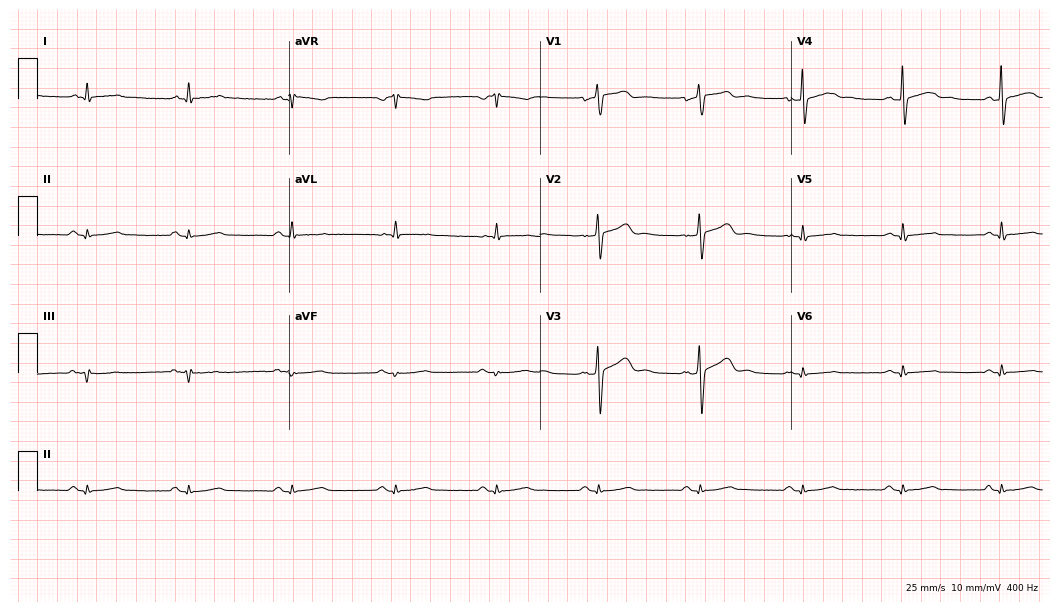
Resting 12-lead electrocardiogram (10.2-second recording at 400 Hz). Patient: a male, 47 years old. None of these six findings is recorded: first-degree AV block, right bundle branch block, left bundle branch block, sinus bradycardia, atrial fibrillation, sinus tachycardia.